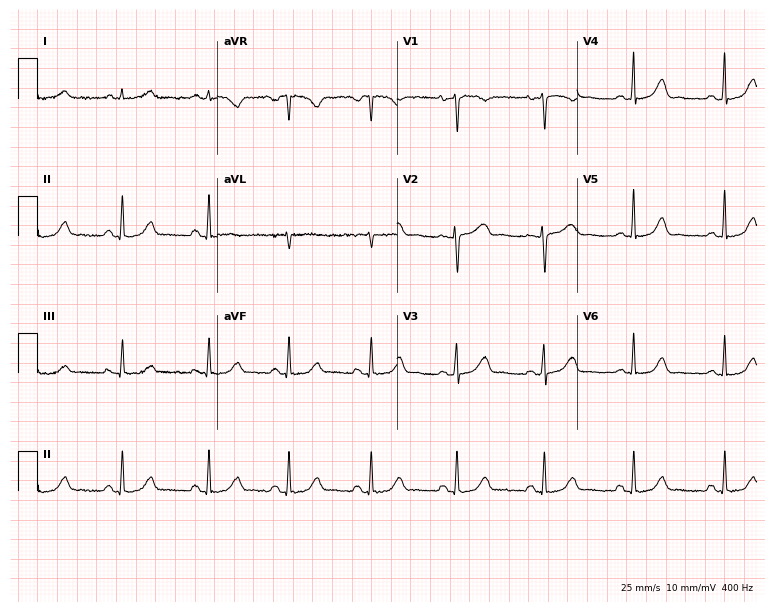
12-lead ECG (7.3-second recording at 400 Hz) from a 44-year-old woman. Labelled as a normal ECG.